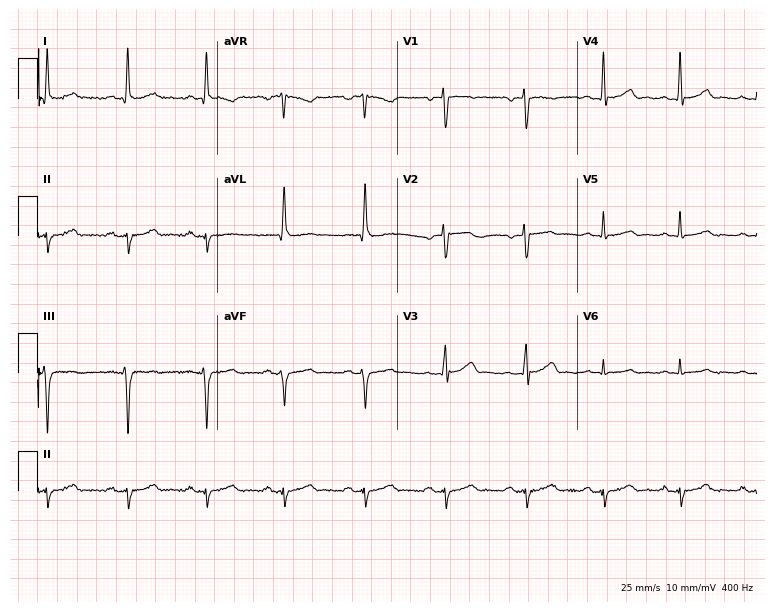
Standard 12-lead ECG recorded from a 73-year-old woman (7.3-second recording at 400 Hz). None of these six findings is recorded: first-degree AV block, right bundle branch block, left bundle branch block, sinus bradycardia, atrial fibrillation, sinus tachycardia. Only these six findings were labelled.